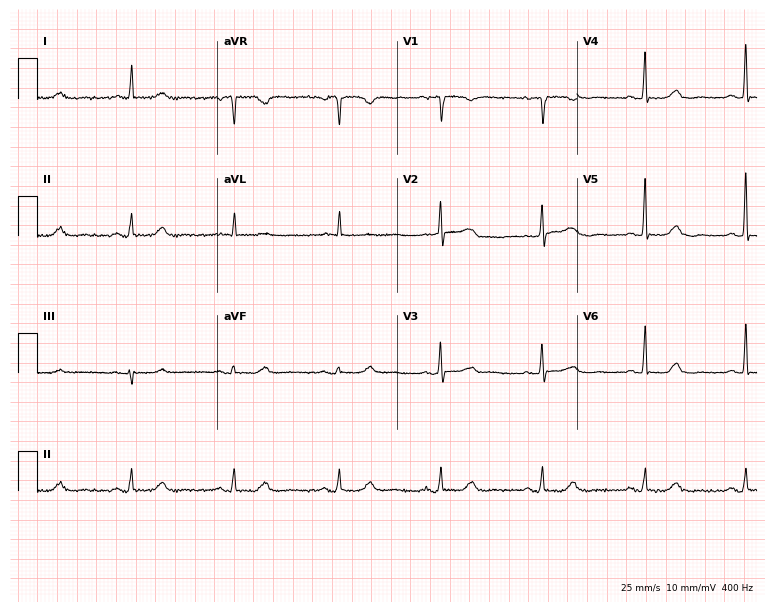
ECG — a female, 75 years old. Screened for six findings — first-degree AV block, right bundle branch block, left bundle branch block, sinus bradycardia, atrial fibrillation, sinus tachycardia — none is recorded.